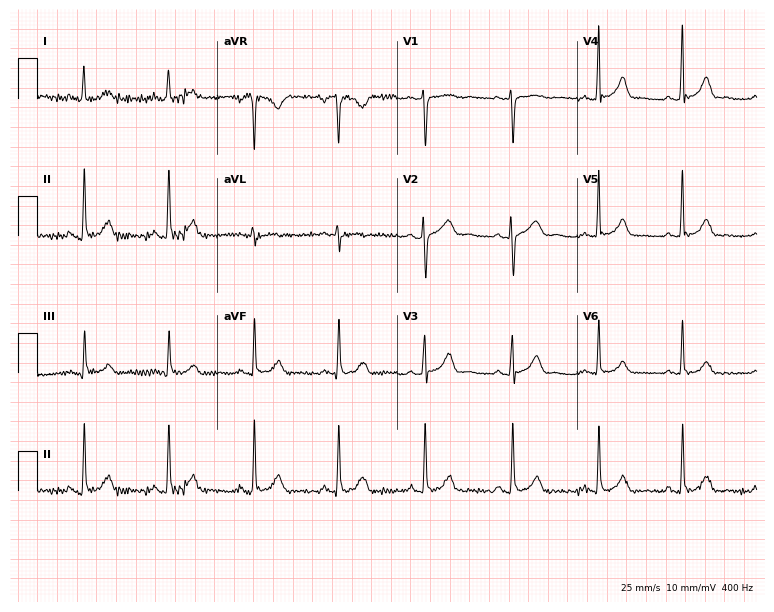
ECG — a 46-year-old female patient. Screened for six findings — first-degree AV block, right bundle branch block (RBBB), left bundle branch block (LBBB), sinus bradycardia, atrial fibrillation (AF), sinus tachycardia — none is recorded. Findings outside these six are not listed.